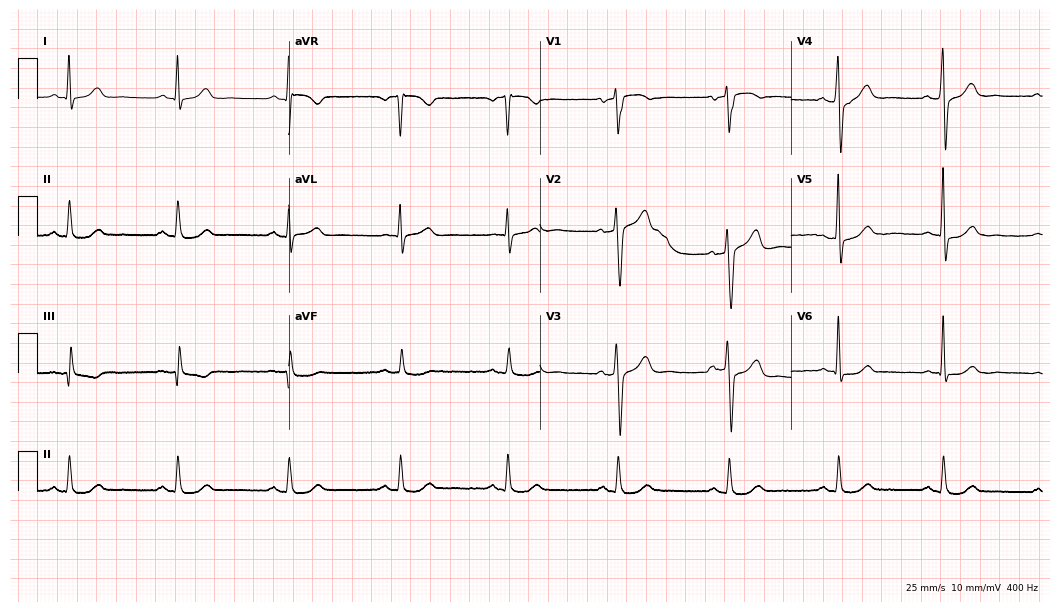
ECG — a 56-year-old male. Screened for six findings — first-degree AV block, right bundle branch block (RBBB), left bundle branch block (LBBB), sinus bradycardia, atrial fibrillation (AF), sinus tachycardia — none is recorded. Other findings, if any, are not listed.